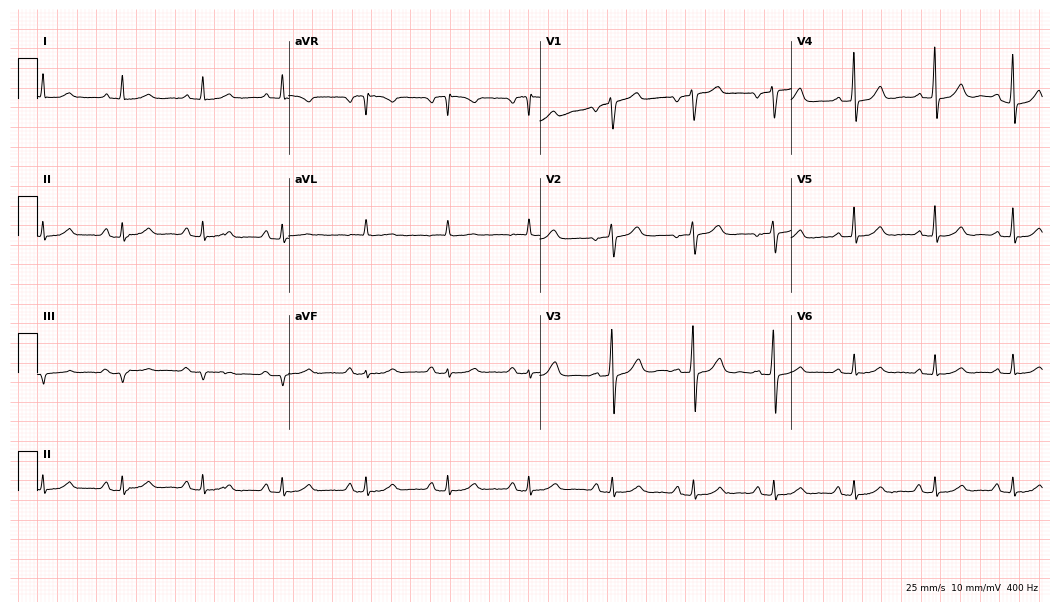
Electrocardiogram (10.2-second recording at 400 Hz), a male, 68 years old. Overall reading on record: normal ECG.